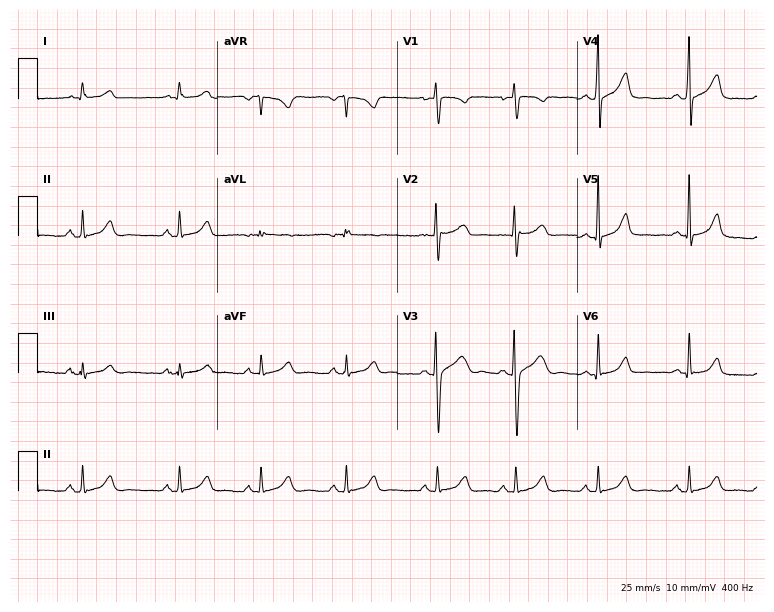
12-lead ECG from a 31-year-old female. Labelled as a normal ECG.